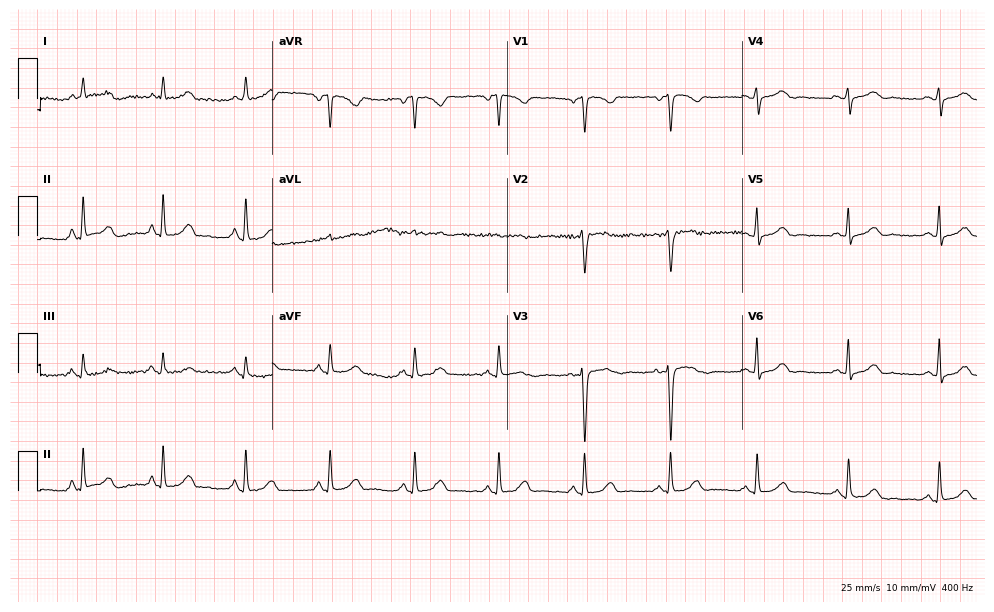
Standard 12-lead ECG recorded from a 67-year-old woman (9.6-second recording at 400 Hz). None of these six findings is recorded: first-degree AV block, right bundle branch block (RBBB), left bundle branch block (LBBB), sinus bradycardia, atrial fibrillation (AF), sinus tachycardia. Only these six findings were labelled.